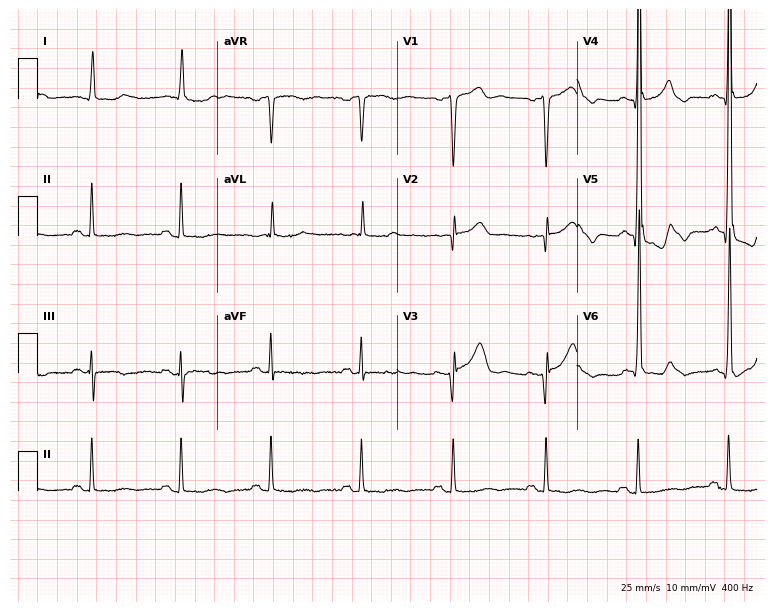
Standard 12-lead ECG recorded from a 67-year-old male patient (7.3-second recording at 400 Hz). None of these six findings is recorded: first-degree AV block, right bundle branch block (RBBB), left bundle branch block (LBBB), sinus bradycardia, atrial fibrillation (AF), sinus tachycardia.